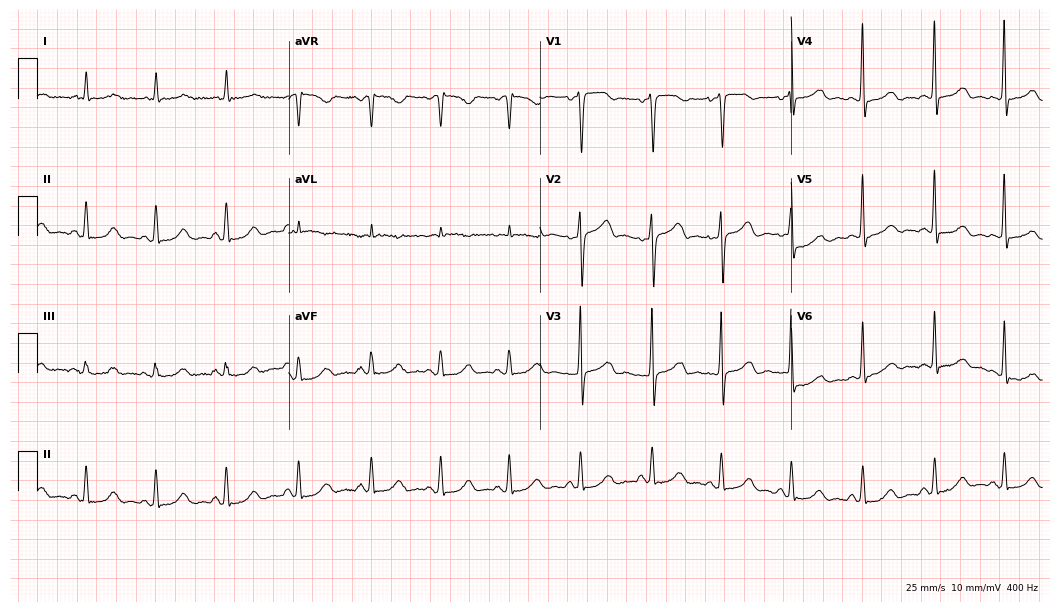
Electrocardiogram, a 74-year-old female patient. Overall reading on record: normal ECG.